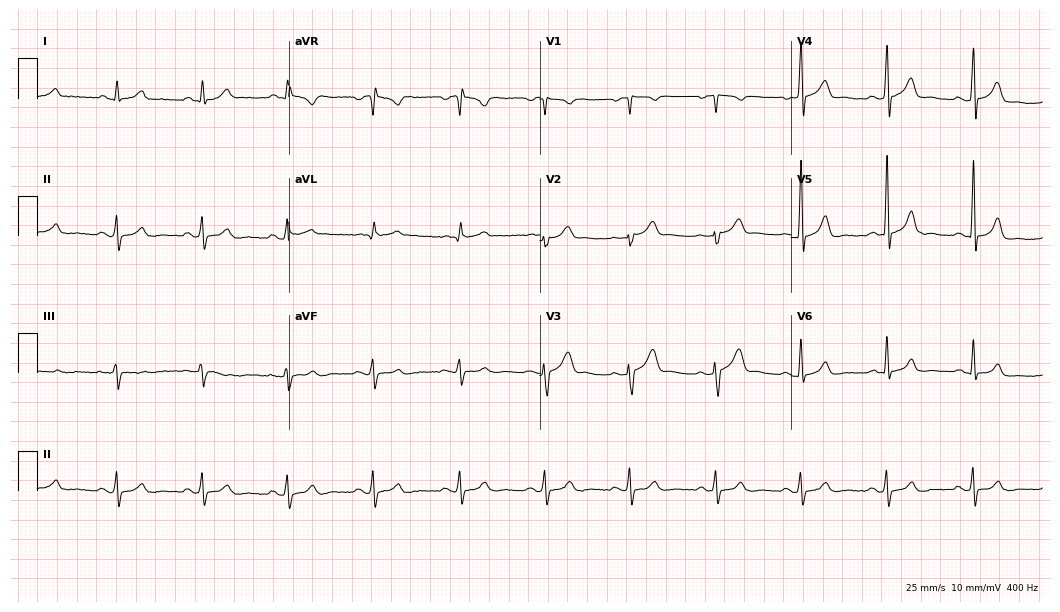
12-lead ECG from a male patient, 38 years old (10.2-second recording at 400 Hz). Recorded interpretation: within normal limits.